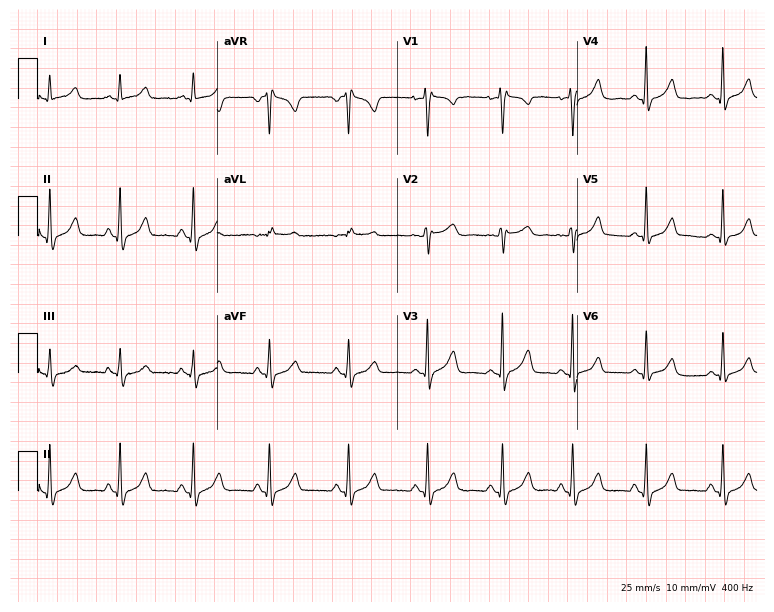
ECG — a female patient, 25 years old. Labelled as a normal ECG.